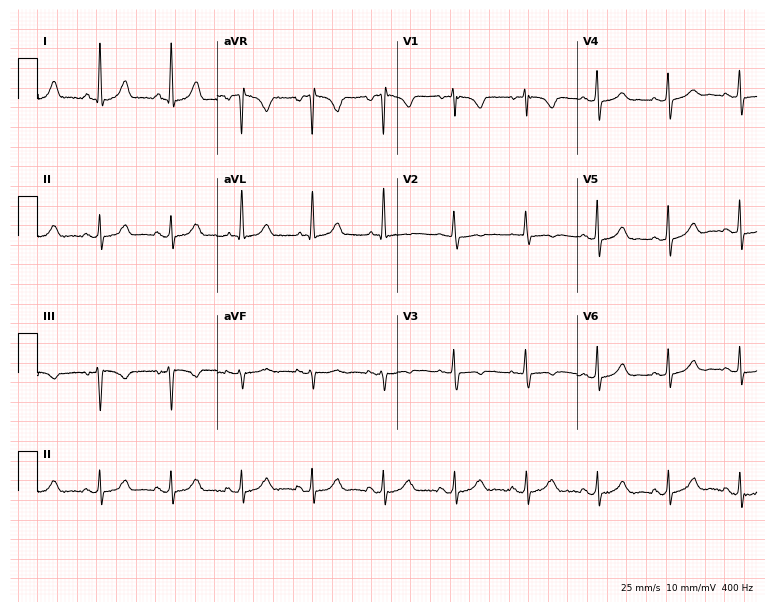
Standard 12-lead ECG recorded from a 66-year-old female. None of these six findings is recorded: first-degree AV block, right bundle branch block, left bundle branch block, sinus bradycardia, atrial fibrillation, sinus tachycardia.